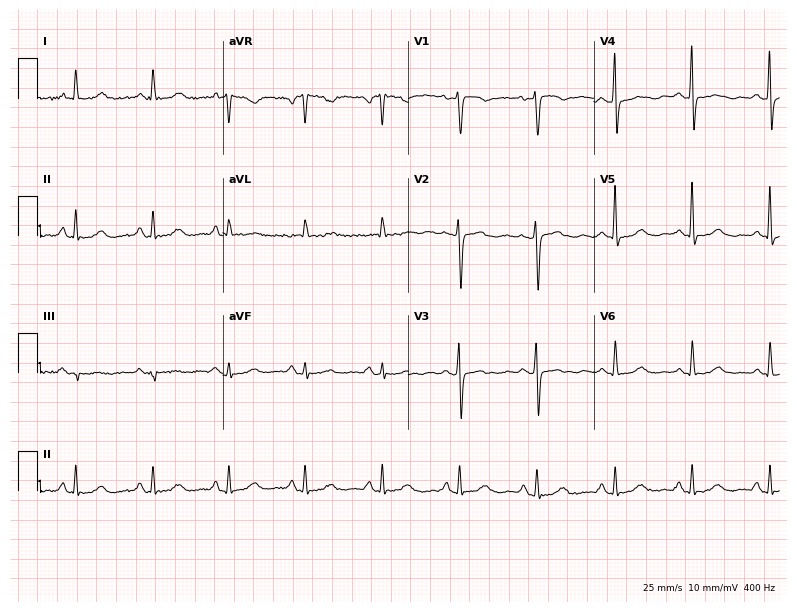
ECG — a 72-year-old female patient. Screened for six findings — first-degree AV block, right bundle branch block (RBBB), left bundle branch block (LBBB), sinus bradycardia, atrial fibrillation (AF), sinus tachycardia — none is recorded. Findings outside these six are not listed.